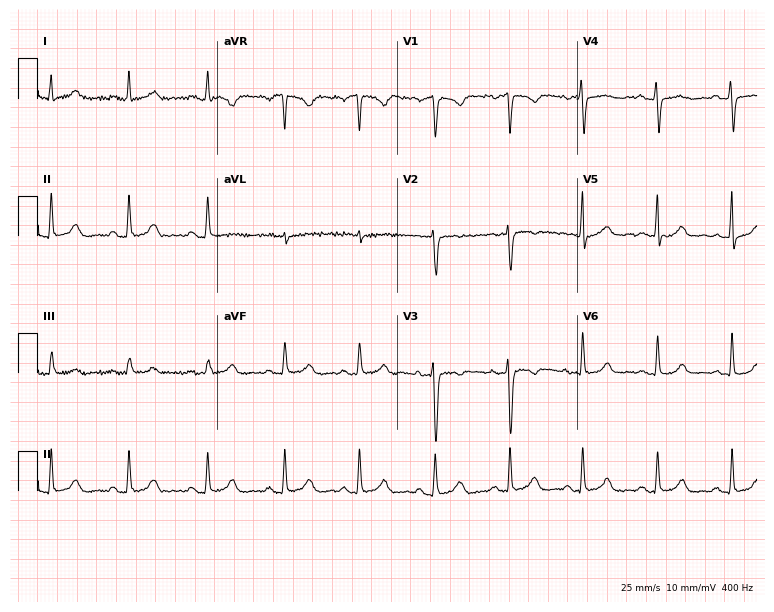
12-lead ECG (7.3-second recording at 400 Hz) from a 38-year-old female patient. Screened for six findings — first-degree AV block, right bundle branch block (RBBB), left bundle branch block (LBBB), sinus bradycardia, atrial fibrillation (AF), sinus tachycardia — none is recorded.